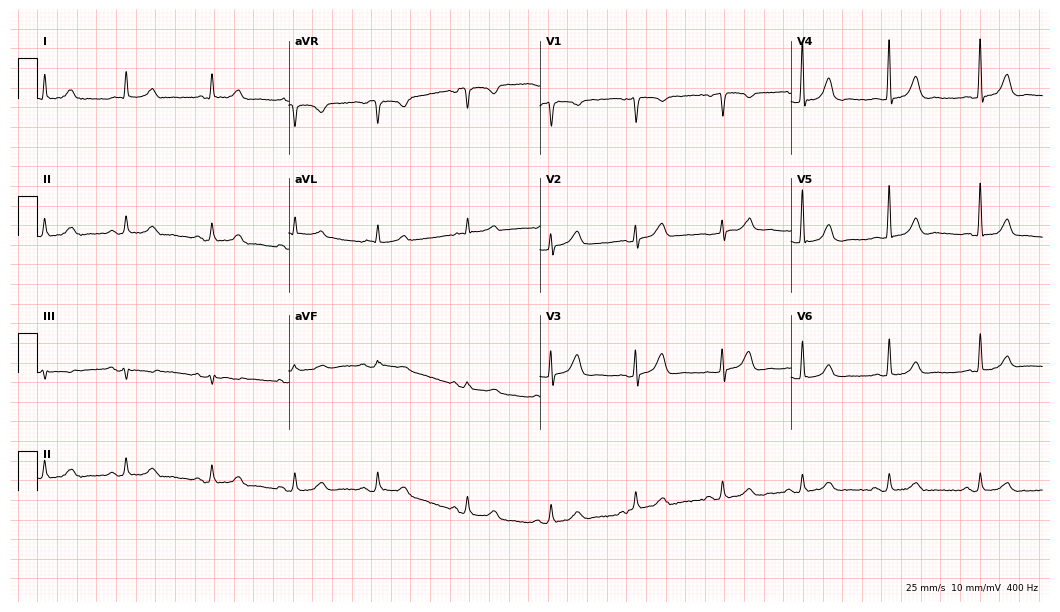
12-lead ECG (10.2-second recording at 400 Hz) from a male, 72 years old. Labelled as a normal ECG.